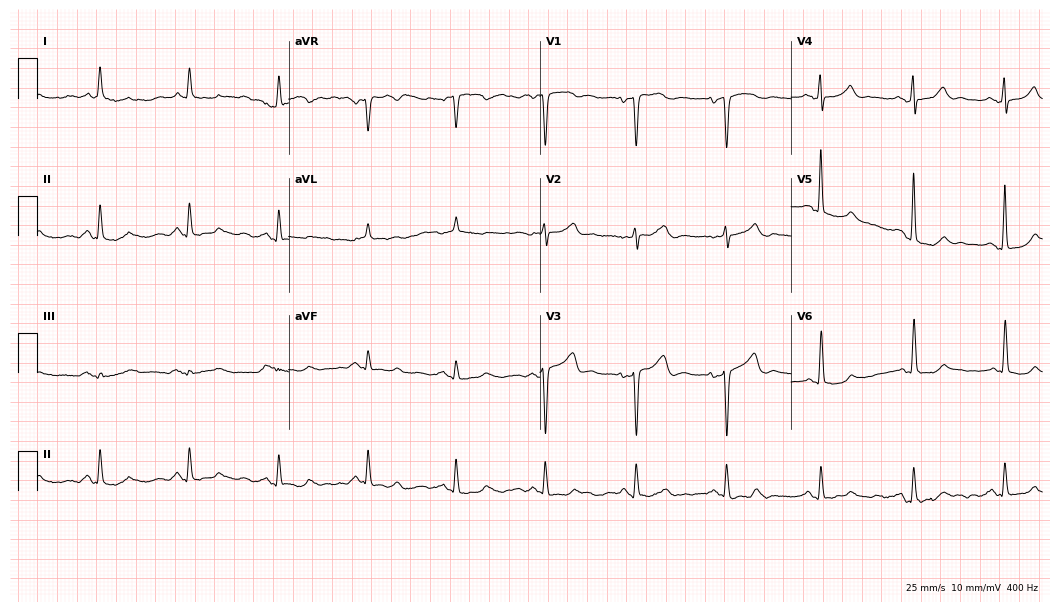
Resting 12-lead electrocardiogram. Patient: an 84-year-old male. None of these six findings is recorded: first-degree AV block, right bundle branch block, left bundle branch block, sinus bradycardia, atrial fibrillation, sinus tachycardia.